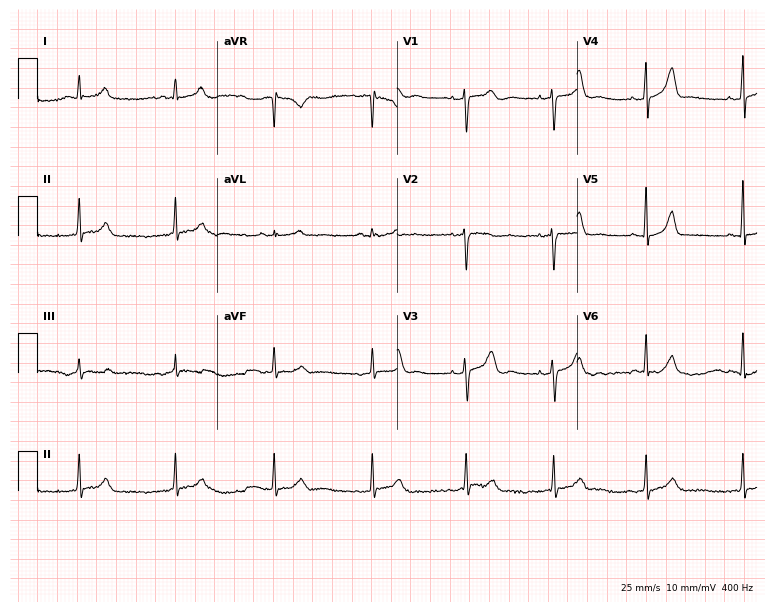
12-lead ECG from a 46-year-old female (7.3-second recording at 400 Hz). Recorded interpretation: within normal limits.